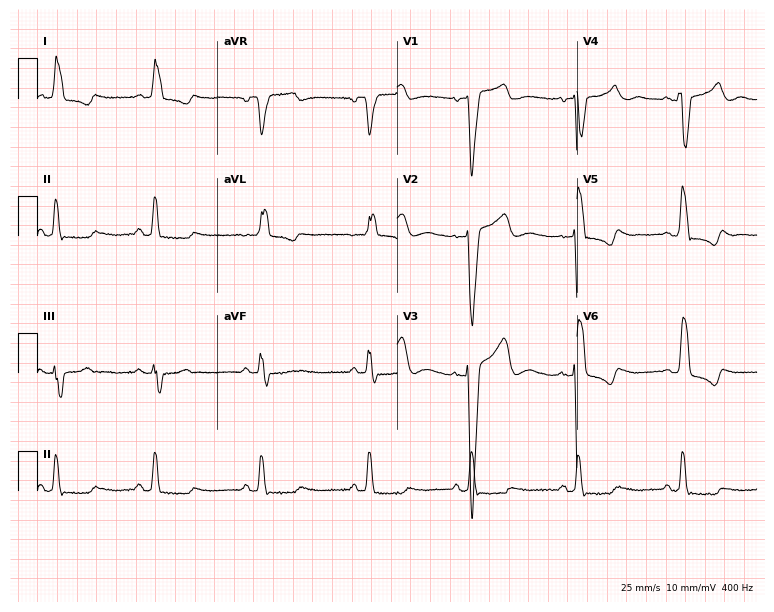
Resting 12-lead electrocardiogram (7.3-second recording at 400 Hz). Patient: a 67-year-old female. The tracing shows left bundle branch block.